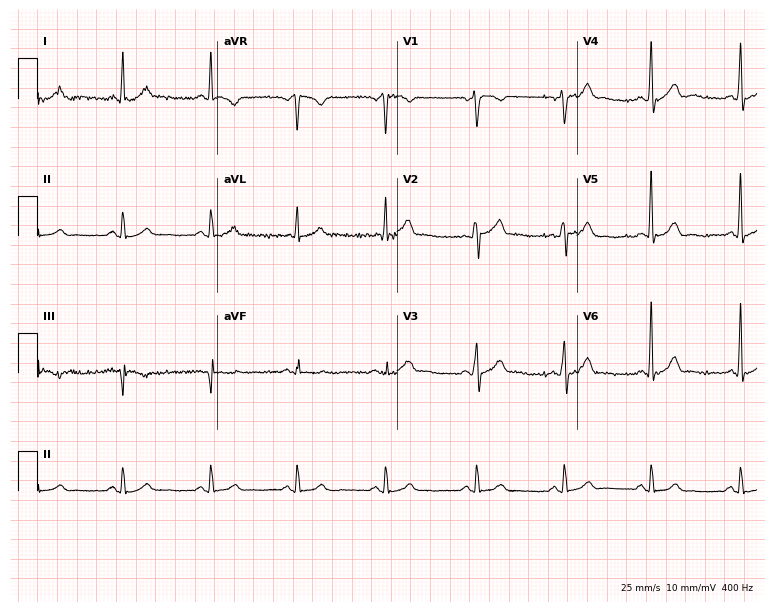
Electrocardiogram (7.3-second recording at 400 Hz), a 39-year-old male patient. Overall reading on record: normal ECG.